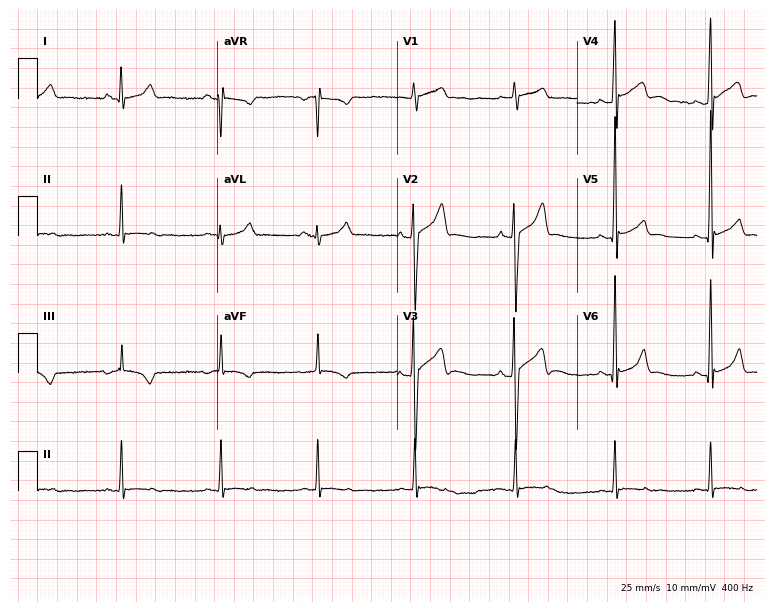
Standard 12-lead ECG recorded from a 22-year-old male (7.3-second recording at 400 Hz). None of these six findings is recorded: first-degree AV block, right bundle branch block, left bundle branch block, sinus bradycardia, atrial fibrillation, sinus tachycardia. Findings outside these six are not listed.